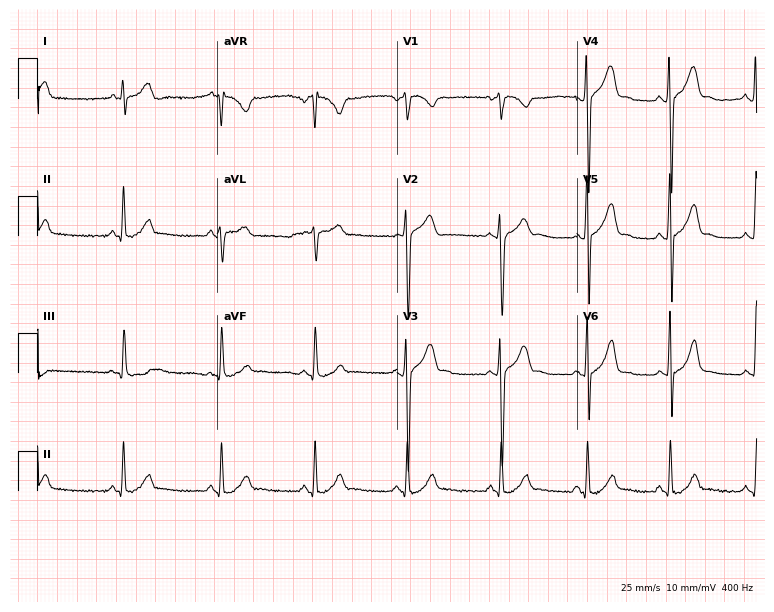
Standard 12-lead ECG recorded from a 27-year-old male patient (7.3-second recording at 400 Hz). Read as a normal ECG.